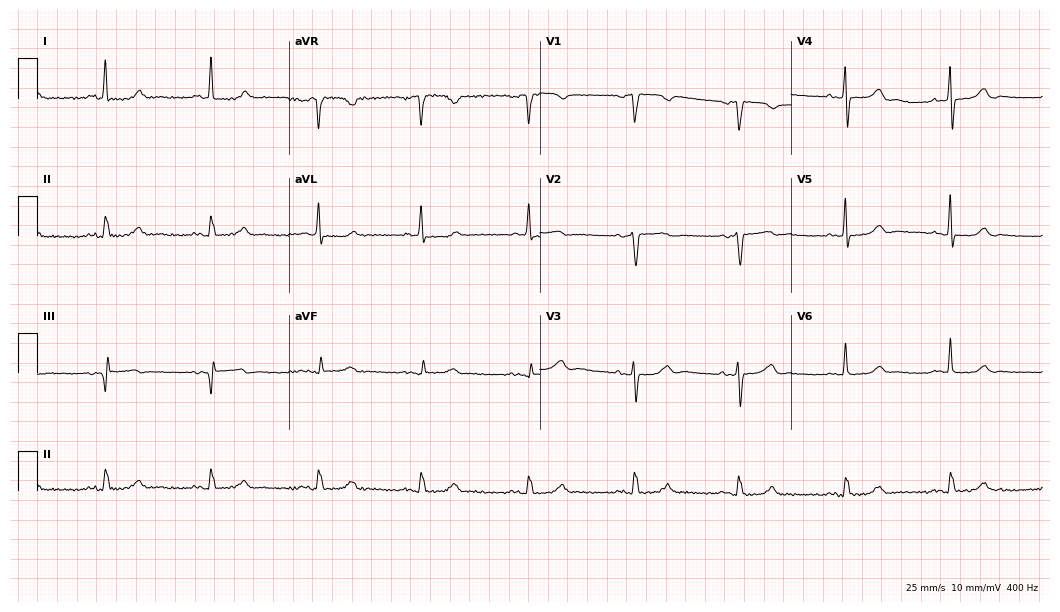
ECG — an 83-year-old female. Labelled as a normal ECG.